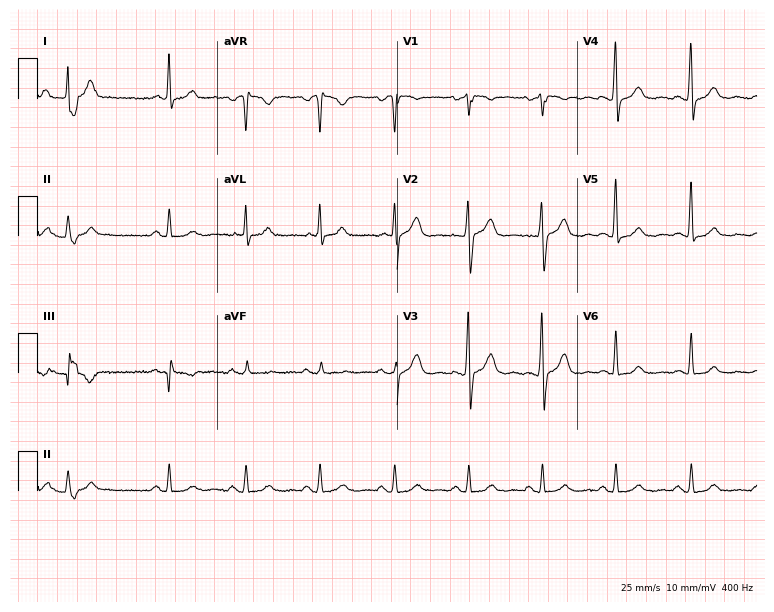
Electrocardiogram (7.3-second recording at 400 Hz), a 59-year-old male patient. Overall reading on record: normal ECG.